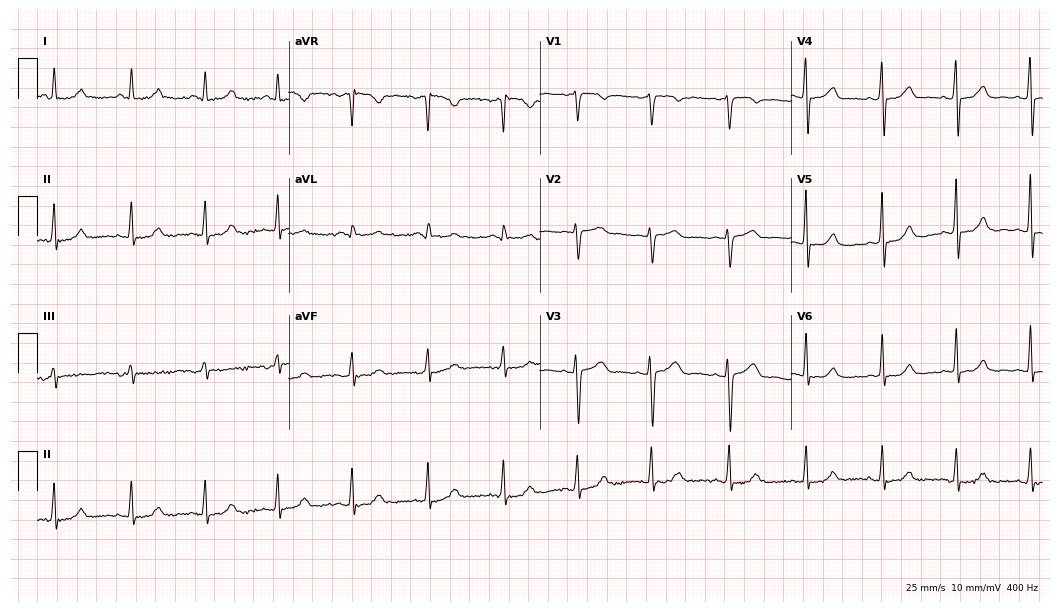
Resting 12-lead electrocardiogram (10.2-second recording at 400 Hz). Patient: a female, 50 years old. Read as a normal ECG.